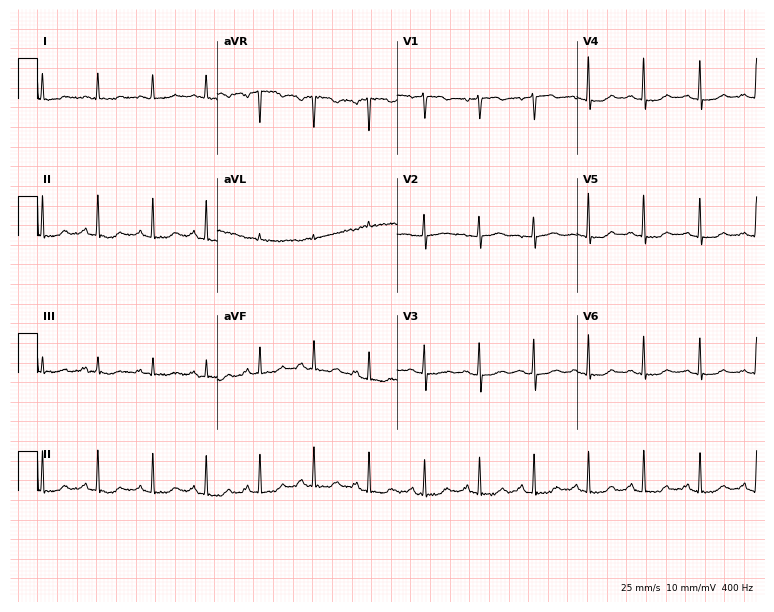
Standard 12-lead ECG recorded from a female patient, 66 years old (7.3-second recording at 400 Hz). The tracing shows sinus tachycardia (a sinus rate of 100 beats per minute or more).